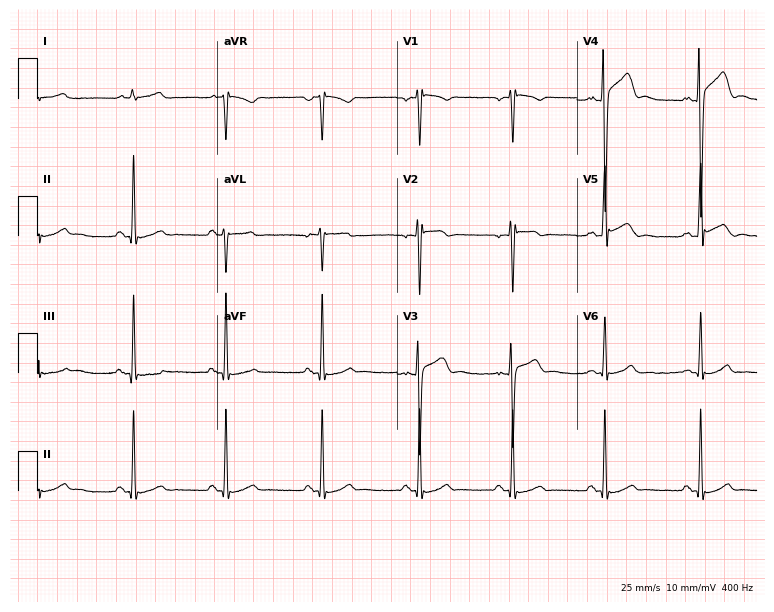
Electrocardiogram, a male, 22 years old. Of the six screened findings (first-degree AV block, right bundle branch block, left bundle branch block, sinus bradycardia, atrial fibrillation, sinus tachycardia), none is recorded. Only these six findings were labelled.